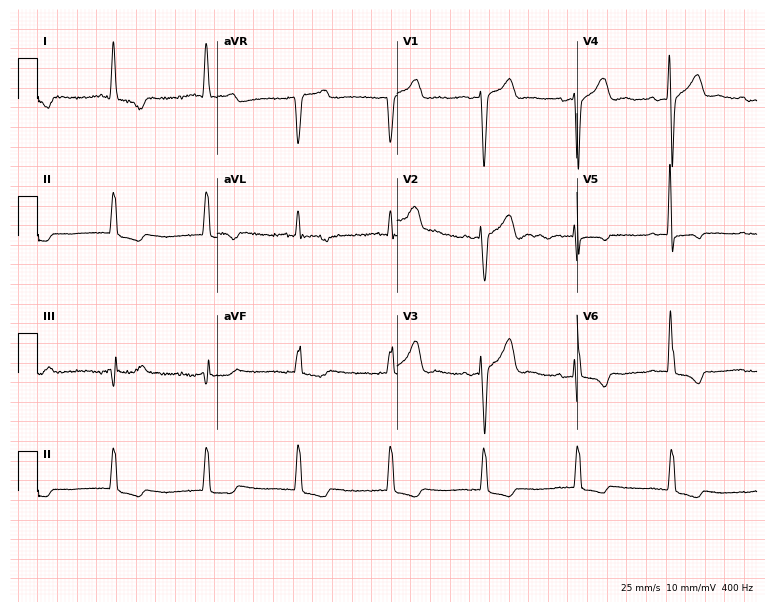
Resting 12-lead electrocardiogram. Patient: a 64-year-old male. None of these six findings is recorded: first-degree AV block, right bundle branch block, left bundle branch block, sinus bradycardia, atrial fibrillation, sinus tachycardia.